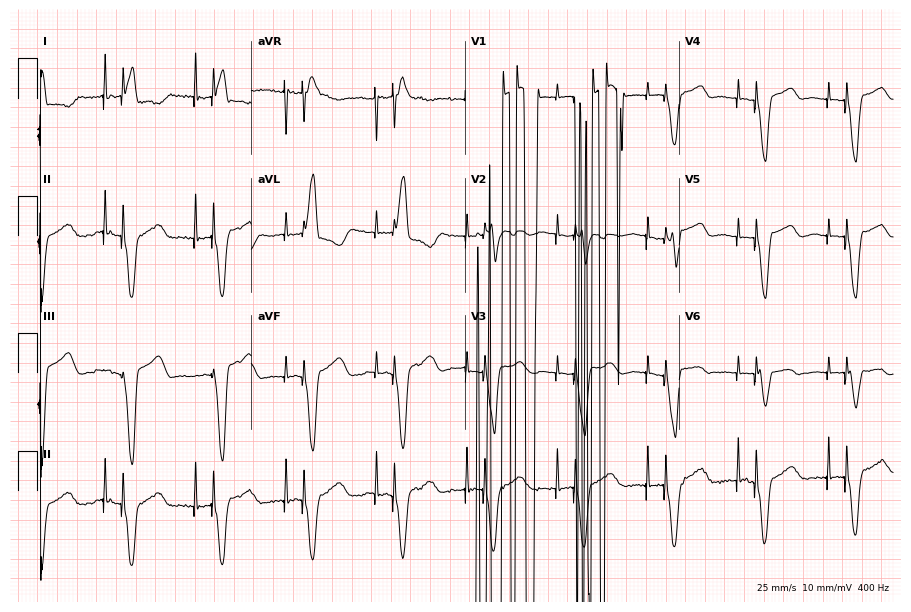
Electrocardiogram, an 81-year-old female. Of the six screened findings (first-degree AV block, right bundle branch block (RBBB), left bundle branch block (LBBB), sinus bradycardia, atrial fibrillation (AF), sinus tachycardia), none is recorded.